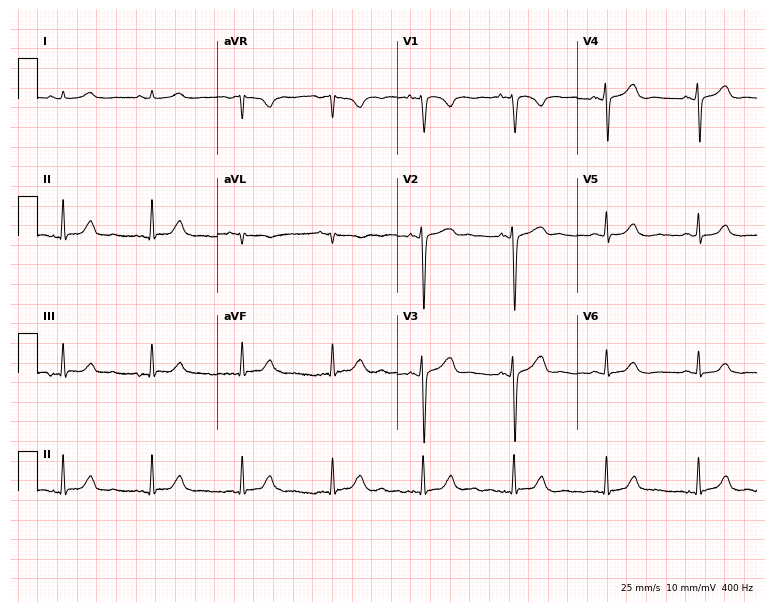
12-lead ECG (7.3-second recording at 400 Hz) from a male patient, 62 years old. Screened for six findings — first-degree AV block, right bundle branch block (RBBB), left bundle branch block (LBBB), sinus bradycardia, atrial fibrillation (AF), sinus tachycardia — none is recorded. Findings outside these six are not listed.